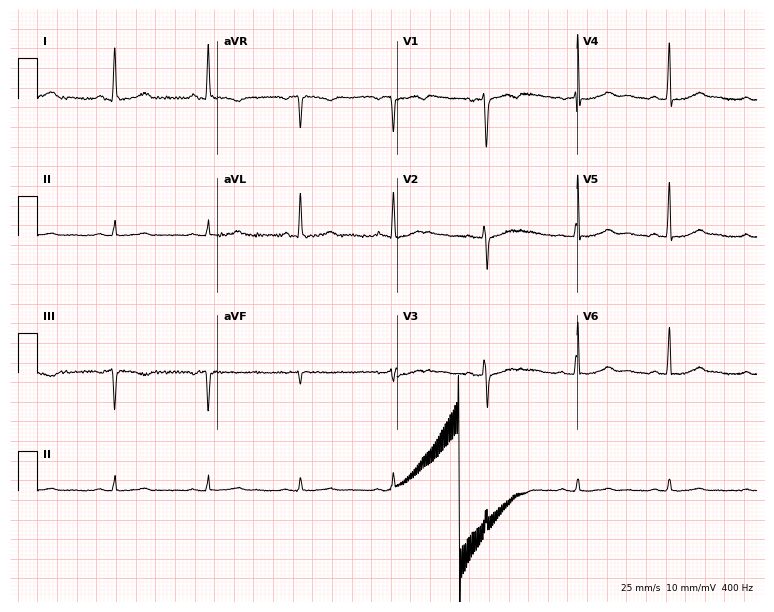
Resting 12-lead electrocardiogram. Patient: a female, 75 years old. Read as a normal ECG.